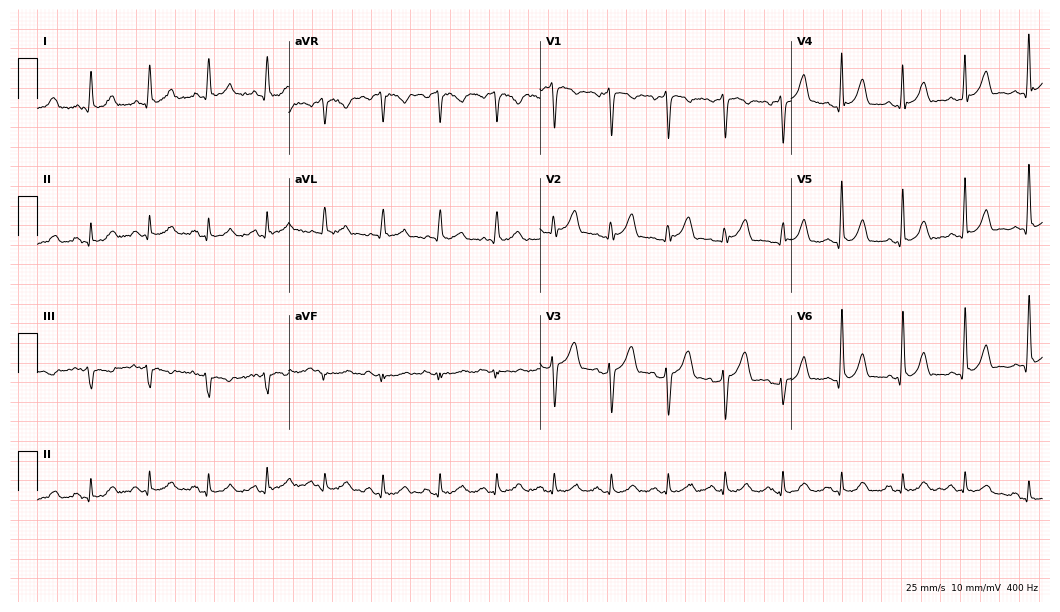
Resting 12-lead electrocardiogram (10.2-second recording at 400 Hz). Patient: a male, 55 years old. None of these six findings is recorded: first-degree AV block, right bundle branch block, left bundle branch block, sinus bradycardia, atrial fibrillation, sinus tachycardia. Findings outside these six are not listed.